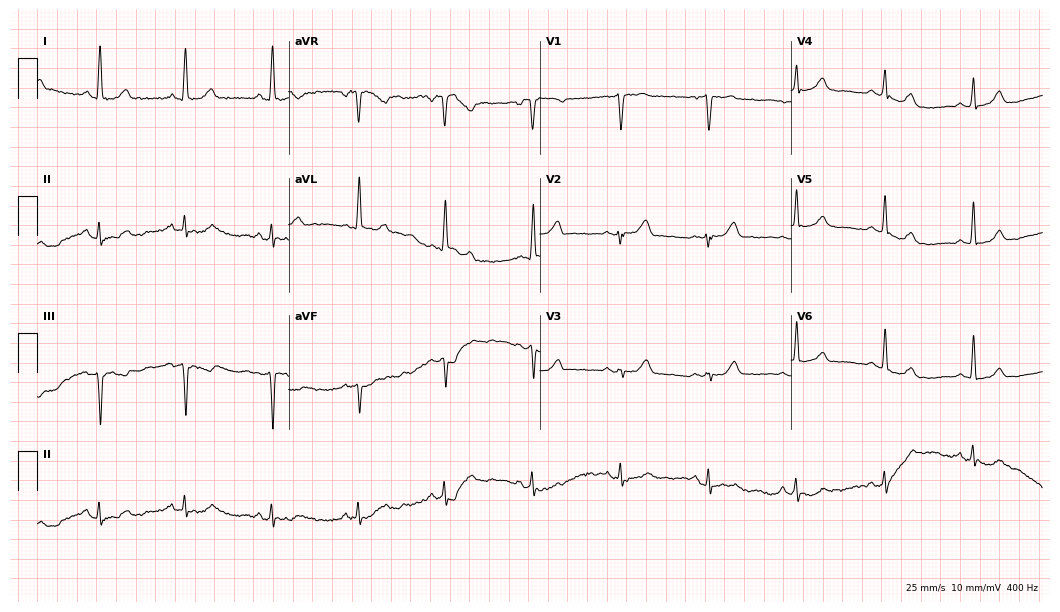
12-lead ECG from a 76-year-old female (10.2-second recording at 400 Hz). No first-degree AV block, right bundle branch block, left bundle branch block, sinus bradycardia, atrial fibrillation or sinus tachycardia recorded for this tracing. Only these six findings were labelled.